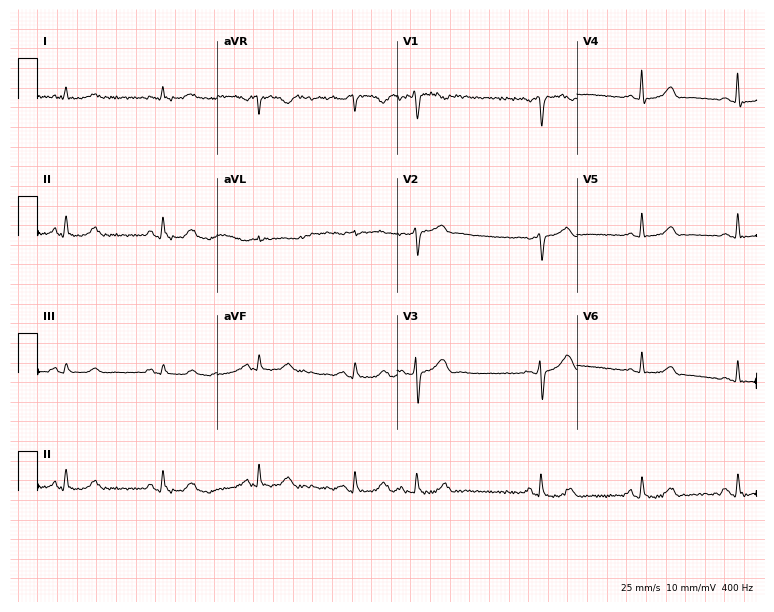
Standard 12-lead ECG recorded from a 57-year-old female (7.3-second recording at 400 Hz). None of these six findings is recorded: first-degree AV block, right bundle branch block, left bundle branch block, sinus bradycardia, atrial fibrillation, sinus tachycardia.